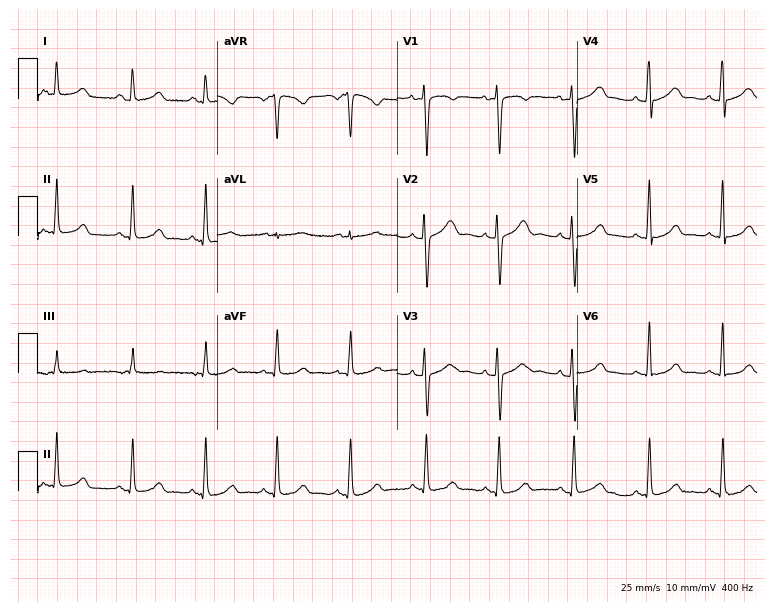
Electrocardiogram, a female, 25 years old. Overall reading on record: normal ECG.